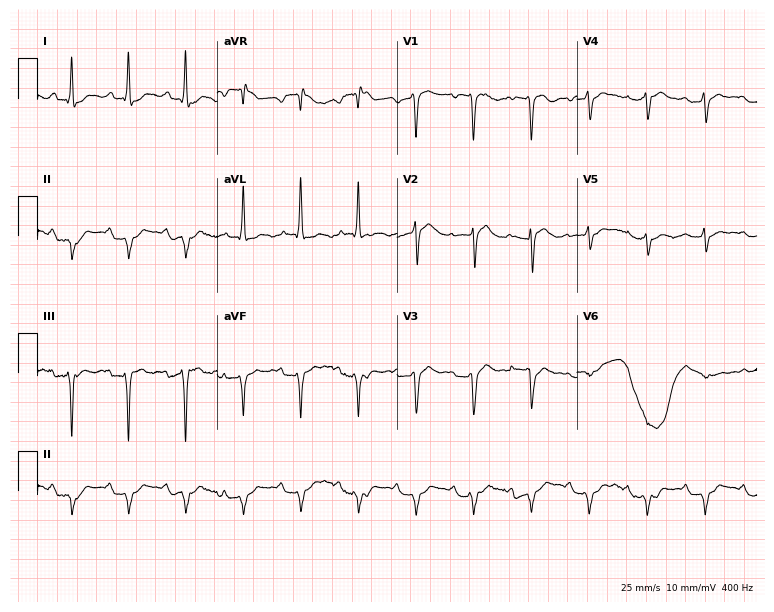
Electrocardiogram, a 58-year-old woman. Of the six screened findings (first-degree AV block, right bundle branch block, left bundle branch block, sinus bradycardia, atrial fibrillation, sinus tachycardia), none is recorded.